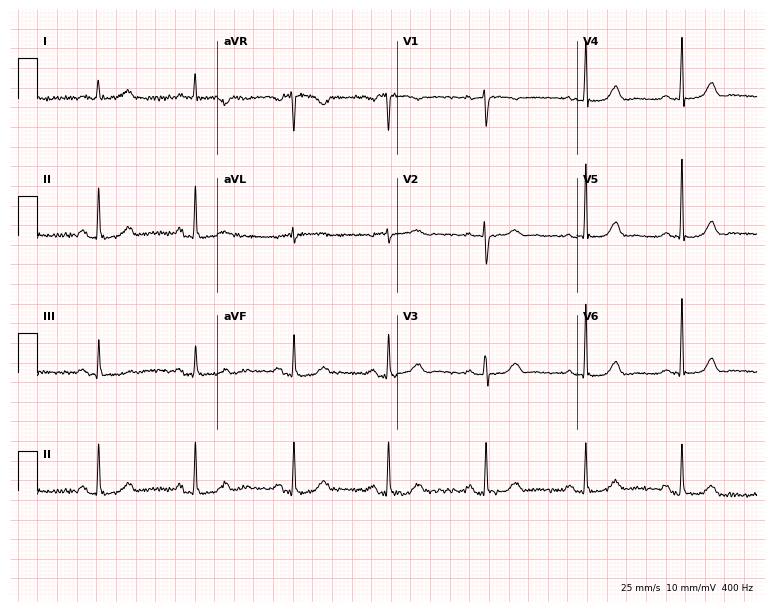
ECG (7.3-second recording at 400 Hz) — a 71-year-old female patient. Labelled as a normal ECG.